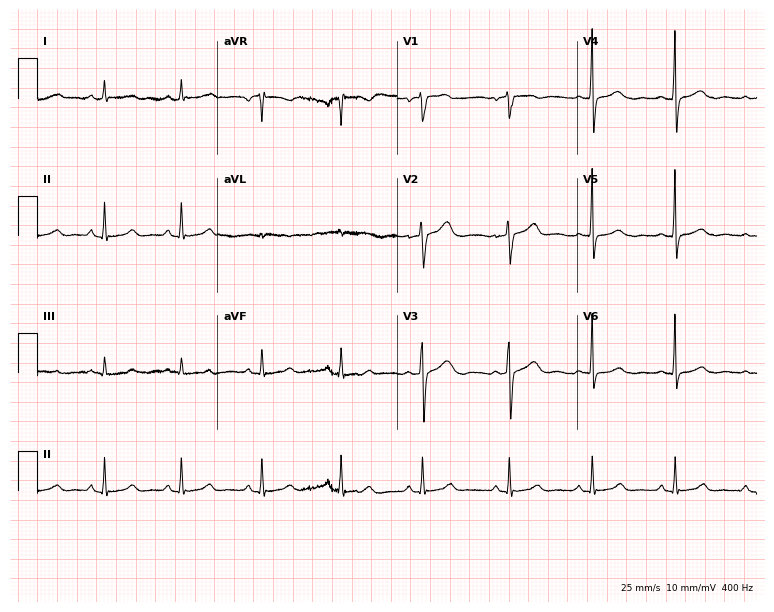
Electrocardiogram, a 37-year-old female patient. Of the six screened findings (first-degree AV block, right bundle branch block (RBBB), left bundle branch block (LBBB), sinus bradycardia, atrial fibrillation (AF), sinus tachycardia), none is recorded.